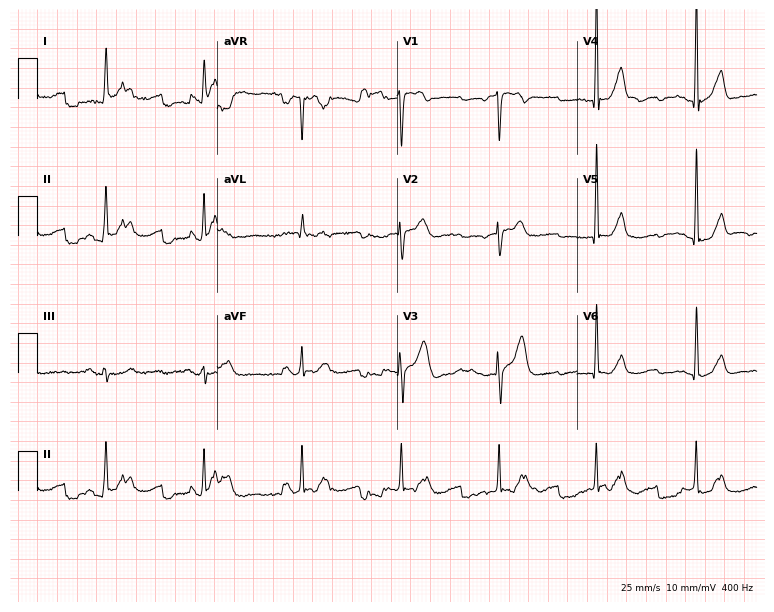
12-lead ECG from a male, 64 years old. Recorded interpretation: within normal limits.